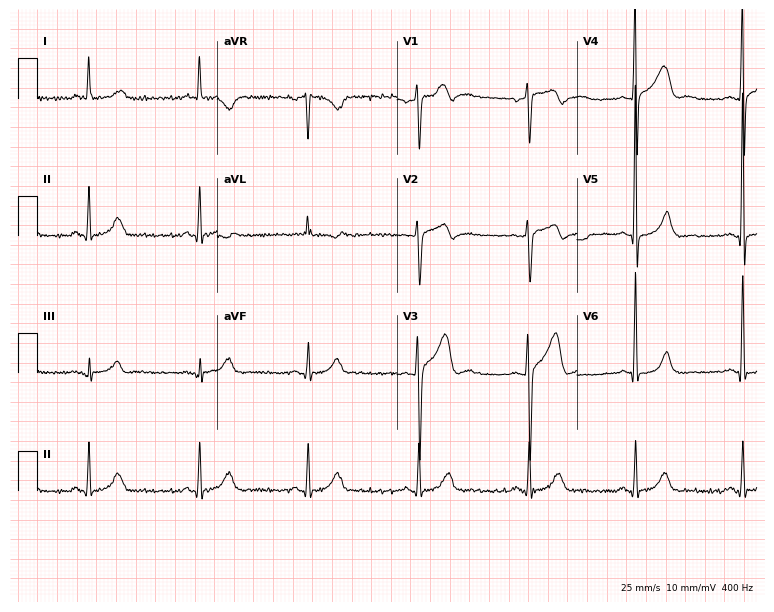
Resting 12-lead electrocardiogram (7.3-second recording at 400 Hz). Patient: a 54-year-old man. Read as a normal ECG.